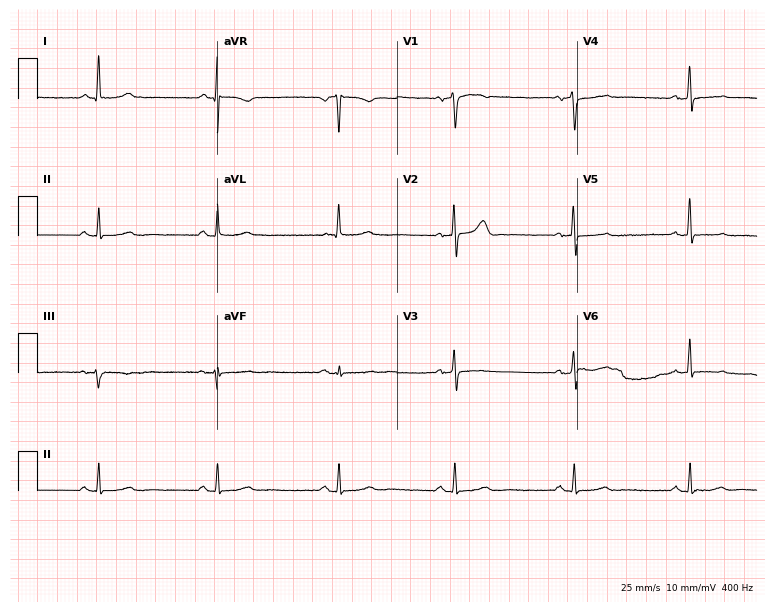
12-lead ECG (7.3-second recording at 400 Hz) from a woman, 69 years old. Findings include sinus bradycardia (a sinus rate of 50 beats per minute or less).